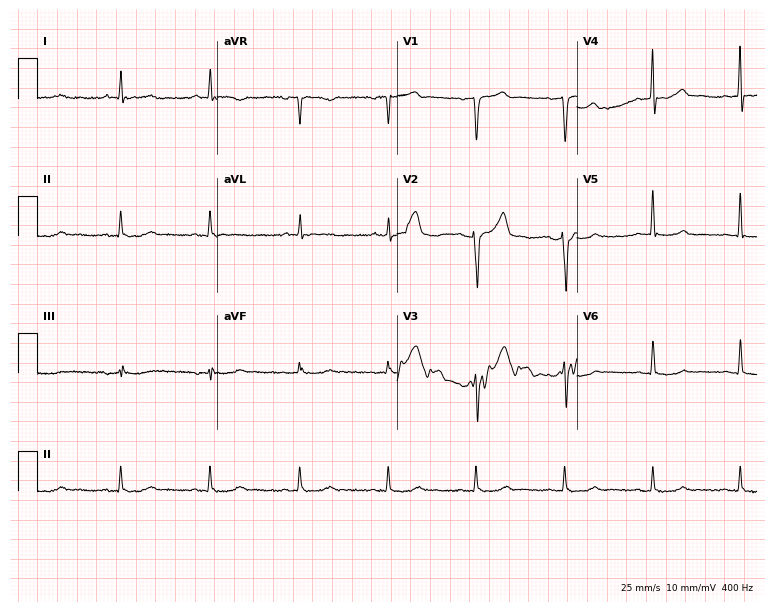
Resting 12-lead electrocardiogram (7.3-second recording at 400 Hz). Patient: a male, 54 years old. None of these six findings is recorded: first-degree AV block, right bundle branch block, left bundle branch block, sinus bradycardia, atrial fibrillation, sinus tachycardia.